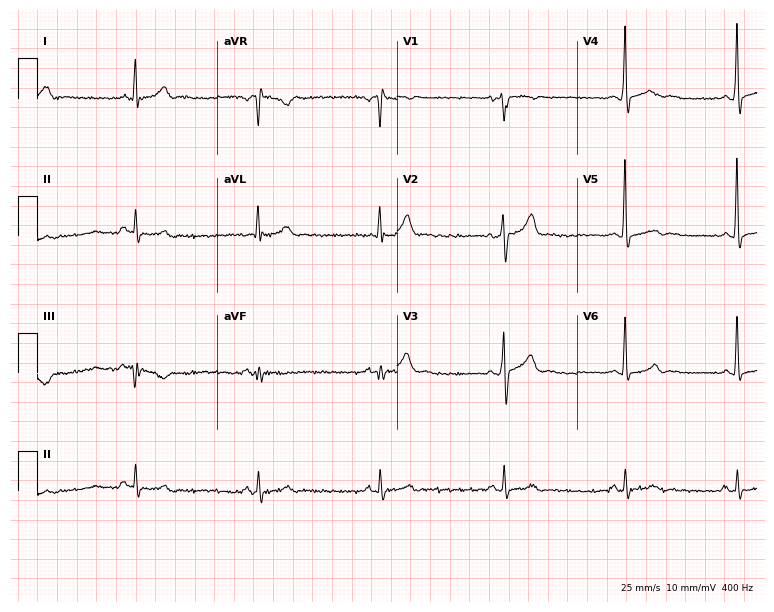
Resting 12-lead electrocardiogram (7.3-second recording at 400 Hz). Patient: a man, 25 years old. None of these six findings is recorded: first-degree AV block, right bundle branch block, left bundle branch block, sinus bradycardia, atrial fibrillation, sinus tachycardia.